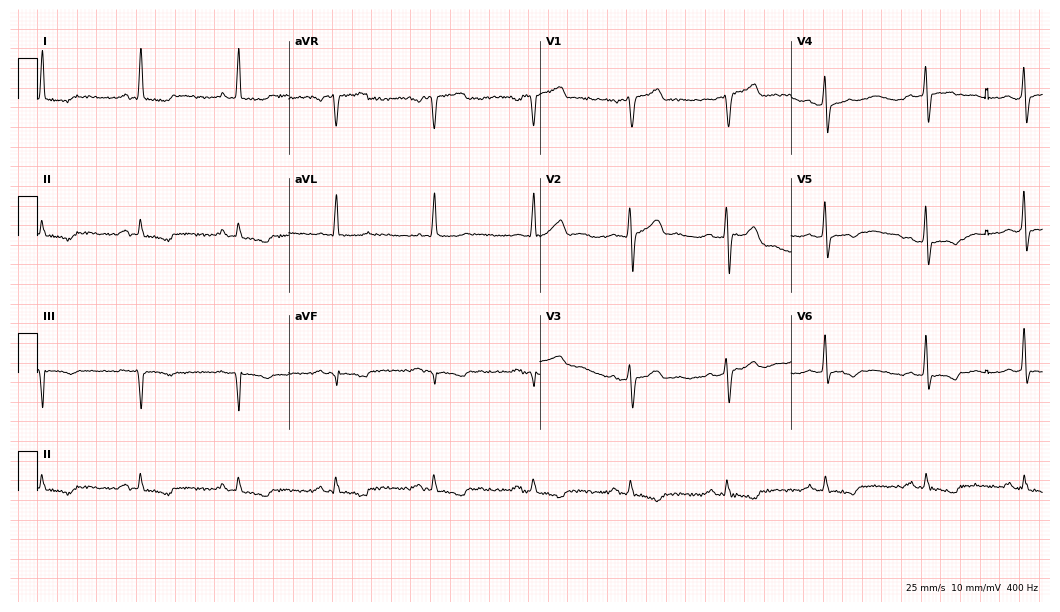
Electrocardiogram, a 59-year-old male patient. Of the six screened findings (first-degree AV block, right bundle branch block (RBBB), left bundle branch block (LBBB), sinus bradycardia, atrial fibrillation (AF), sinus tachycardia), none is recorded. Only these six findings were labelled.